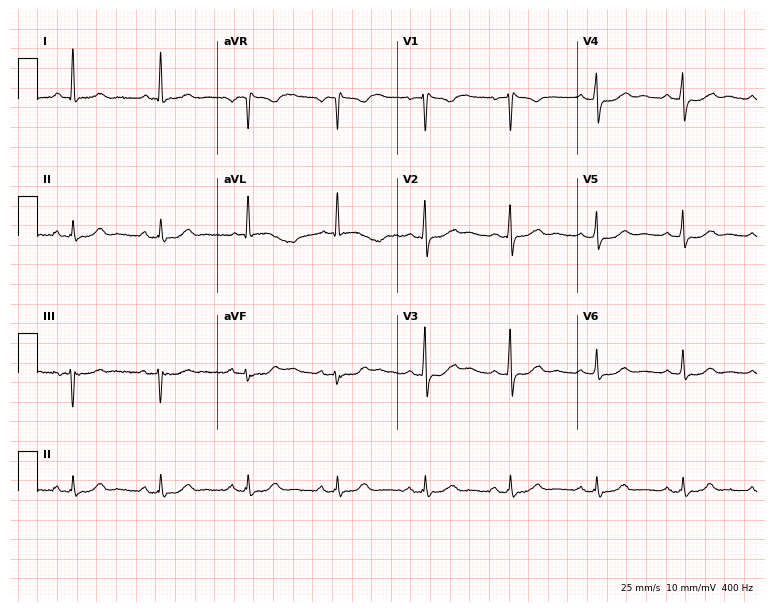
Standard 12-lead ECG recorded from a 57-year-old female patient. None of these six findings is recorded: first-degree AV block, right bundle branch block, left bundle branch block, sinus bradycardia, atrial fibrillation, sinus tachycardia.